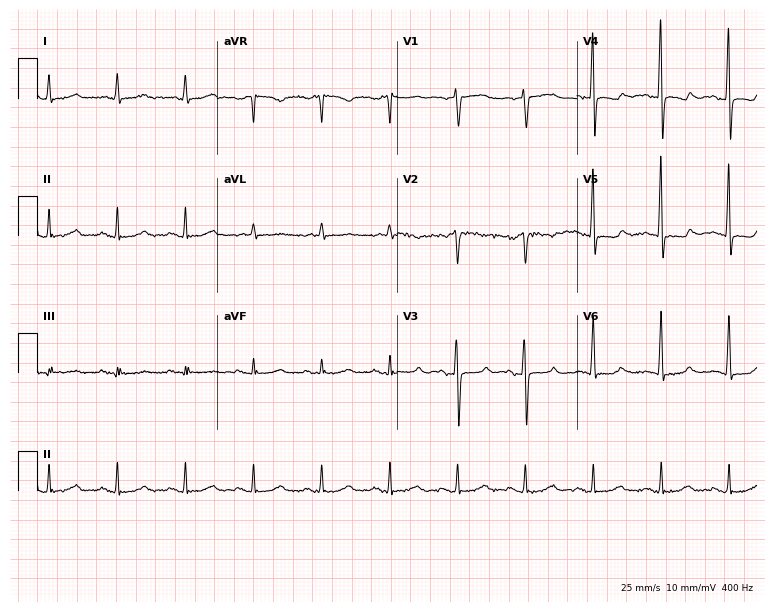
12-lead ECG from a 69-year-old woman. Screened for six findings — first-degree AV block, right bundle branch block, left bundle branch block, sinus bradycardia, atrial fibrillation, sinus tachycardia — none is recorded.